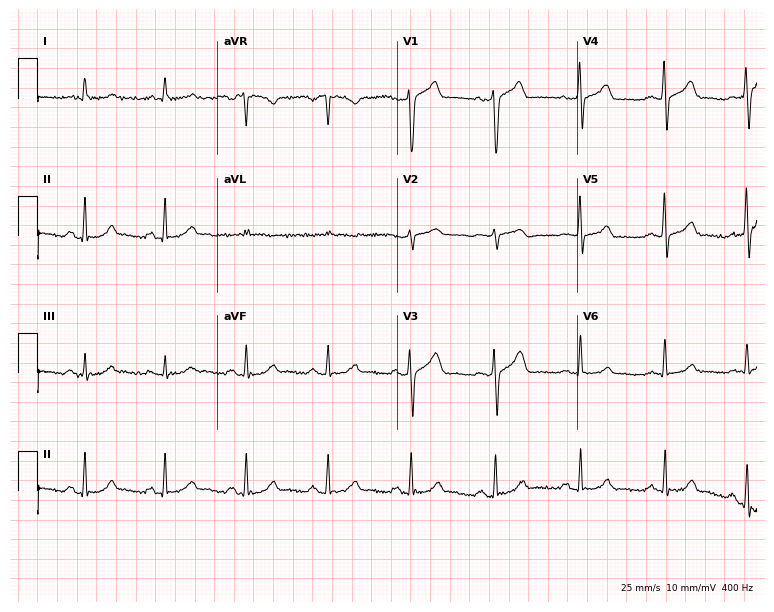
12-lead ECG from a male, 45 years old. Recorded interpretation: within normal limits.